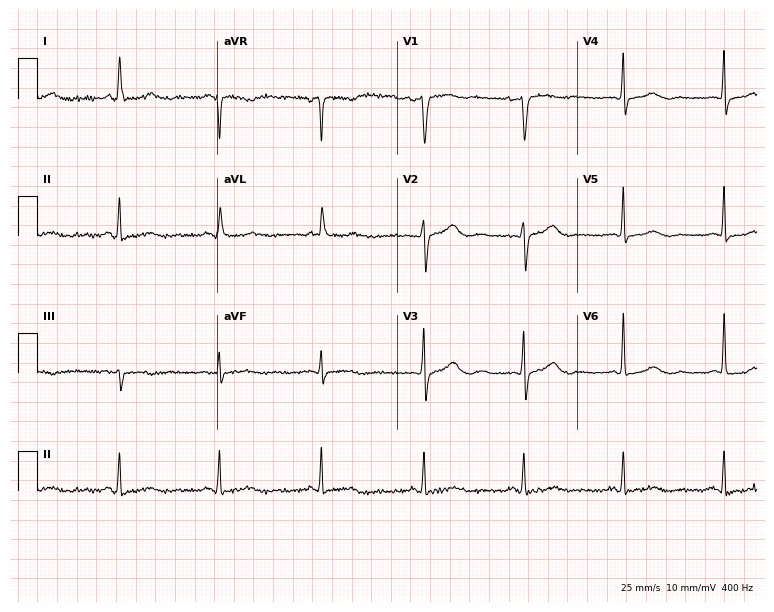
Standard 12-lead ECG recorded from a female patient, 69 years old (7.3-second recording at 400 Hz). Read as a normal ECG.